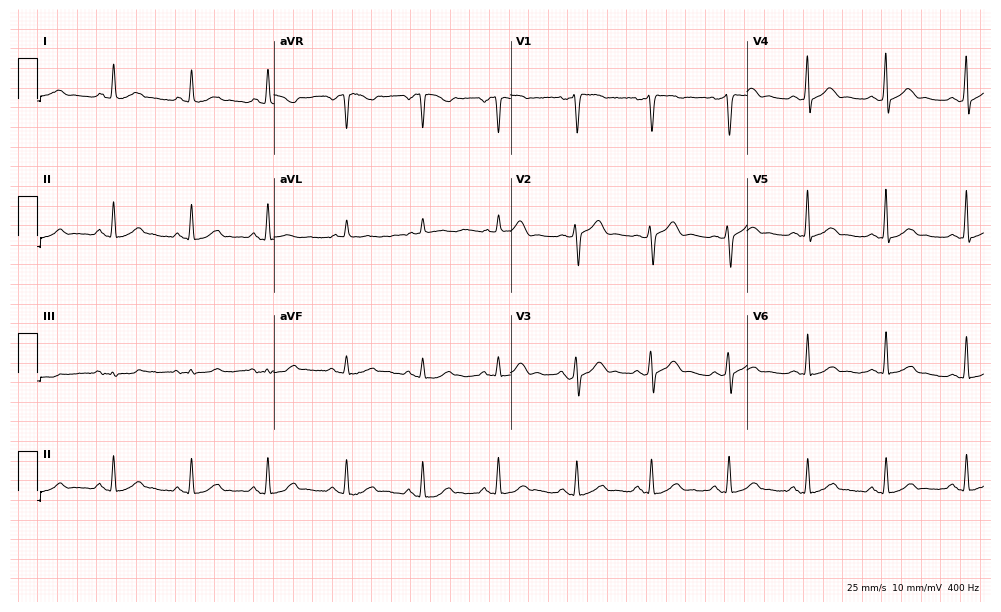
Standard 12-lead ECG recorded from a 63-year-old male (9.6-second recording at 400 Hz). Read as a normal ECG.